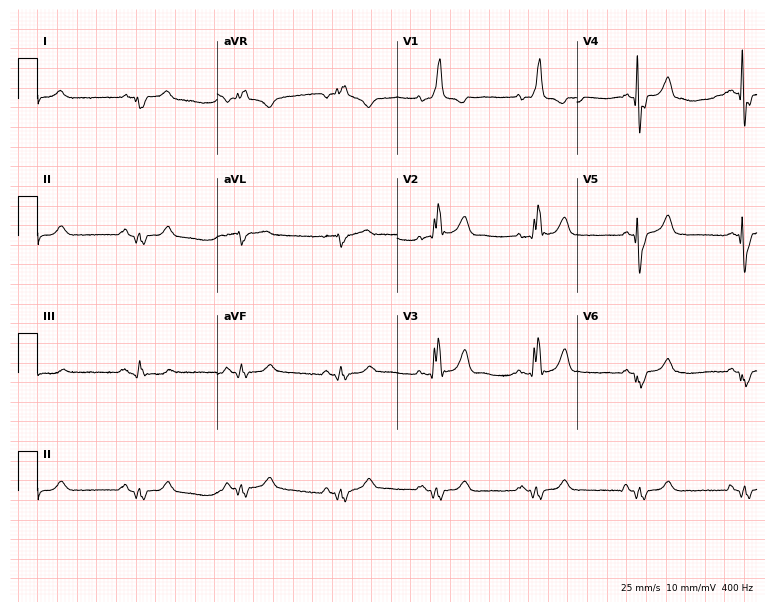
Standard 12-lead ECG recorded from a 70-year-old man. The tracing shows right bundle branch block (RBBB).